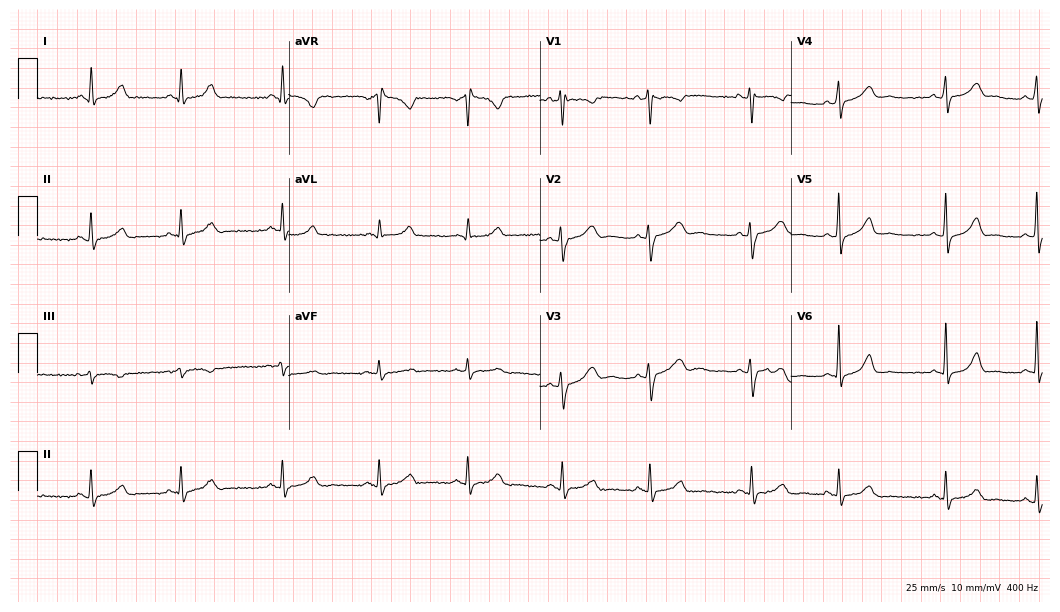
12-lead ECG from a 25-year-old woman (10.2-second recording at 400 Hz). No first-degree AV block, right bundle branch block (RBBB), left bundle branch block (LBBB), sinus bradycardia, atrial fibrillation (AF) or sinus tachycardia recorded for this tracing. Findings outside these six are not listed.